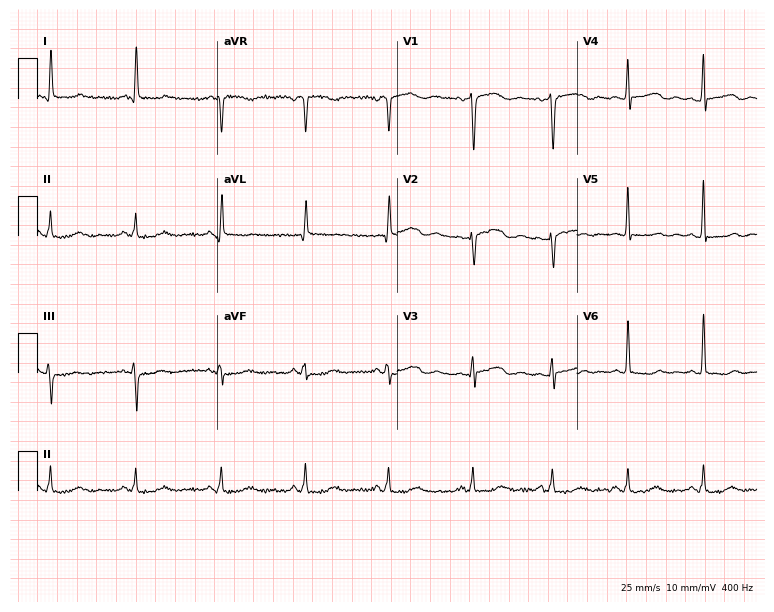
Standard 12-lead ECG recorded from a woman, 57 years old. None of these six findings is recorded: first-degree AV block, right bundle branch block, left bundle branch block, sinus bradycardia, atrial fibrillation, sinus tachycardia. Findings outside these six are not listed.